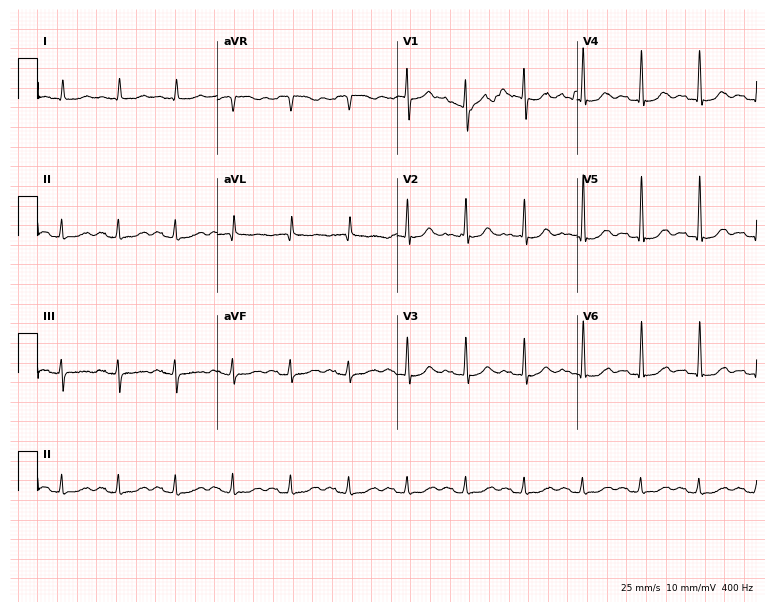
Standard 12-lead ECG recorded from a man, 81 years old. The tracing shows sinus tachycardia (a sinus rate of 100 beats per minute or more).